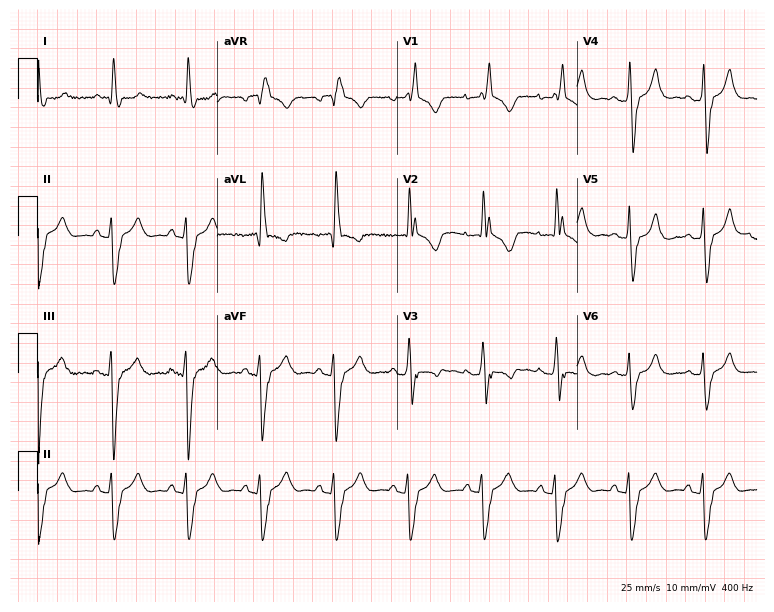
12-lead ECG (7.3-second recording at 400 Hz) from a 44-year-old female patient. Findings include right bundle branch block.